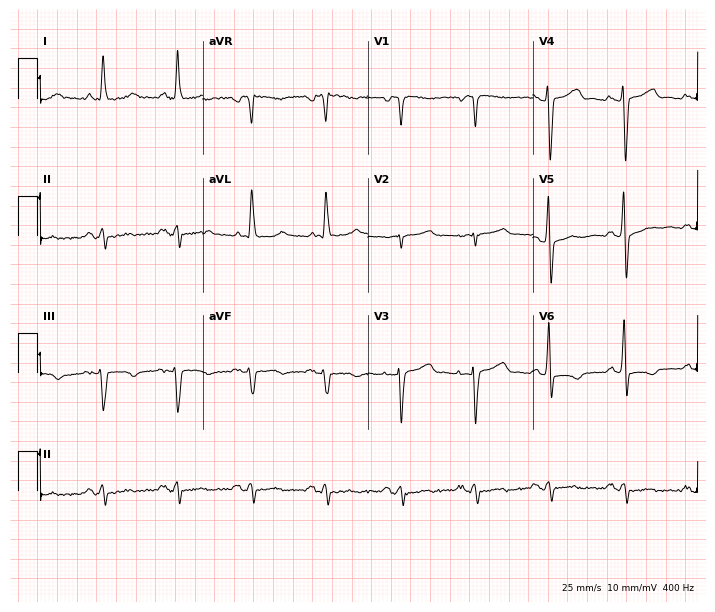
Resting 12-lead electrocardiogram (6.7-second recording at 400 Hz). Patient: a woman, 72 years old. None of these six findings is recorded: first-degree AV block, right bundle branch block, left bundle branch block, sinus bradycardia, atrial fibrillation, sinus tachycardia. Findings outside these six are not listed.